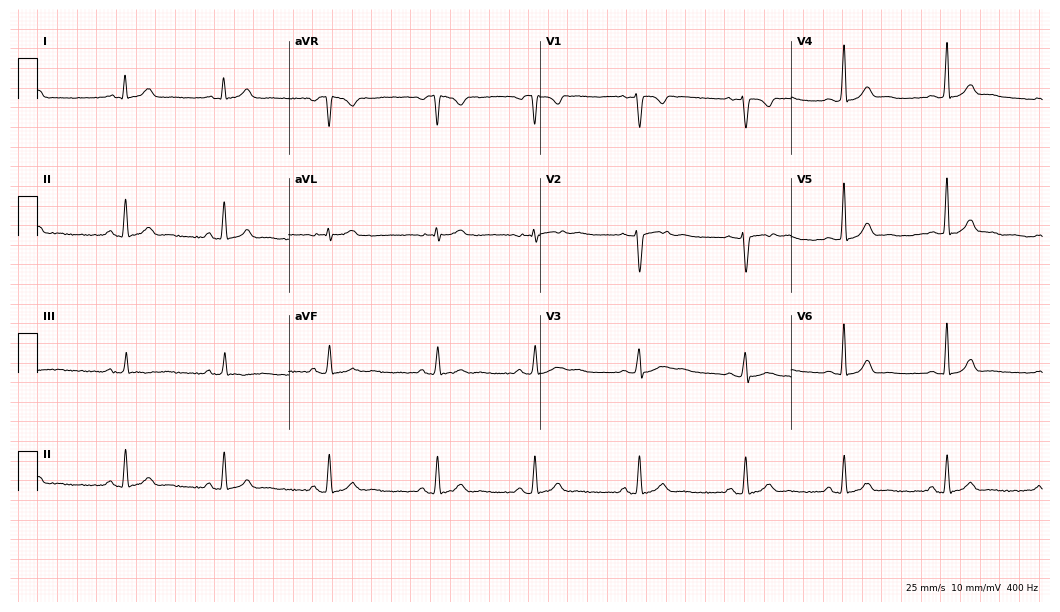
Resting 12-lead electrocardiogram (10.2-second recording at 400 Hz). Patient: a female, 27 years old. Read as a normal ECG.